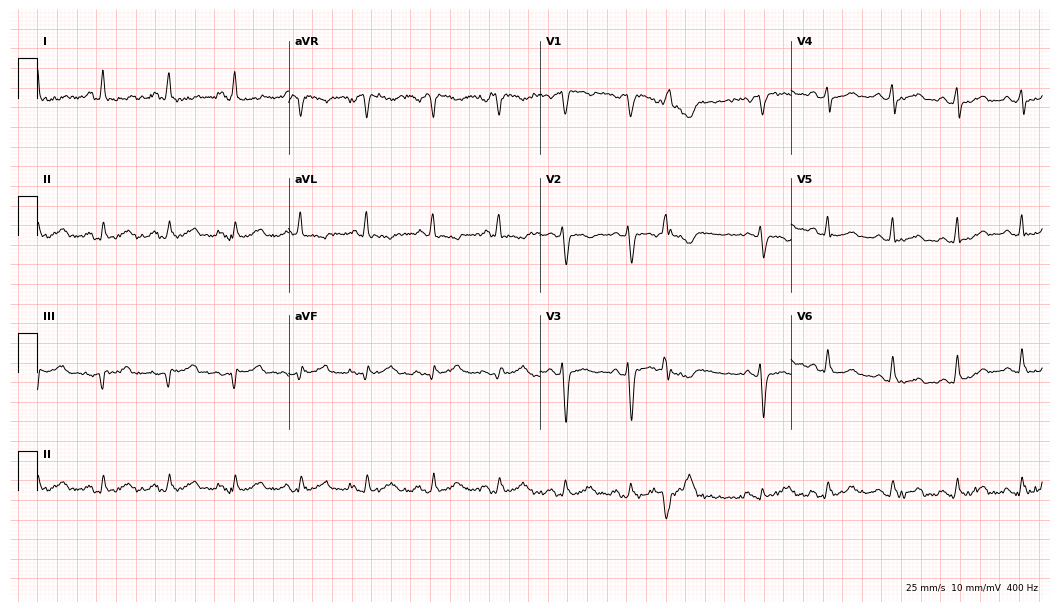
Electrocardiogram (10.2-second recording at 400 Hz), a 59-year-old woman. Of the six screened findings (first-degree AV block, right bundle branch block, left bundle branch block, sinus bradycardia, atrial fibrillation, sinus tachycardia), none is recorded.